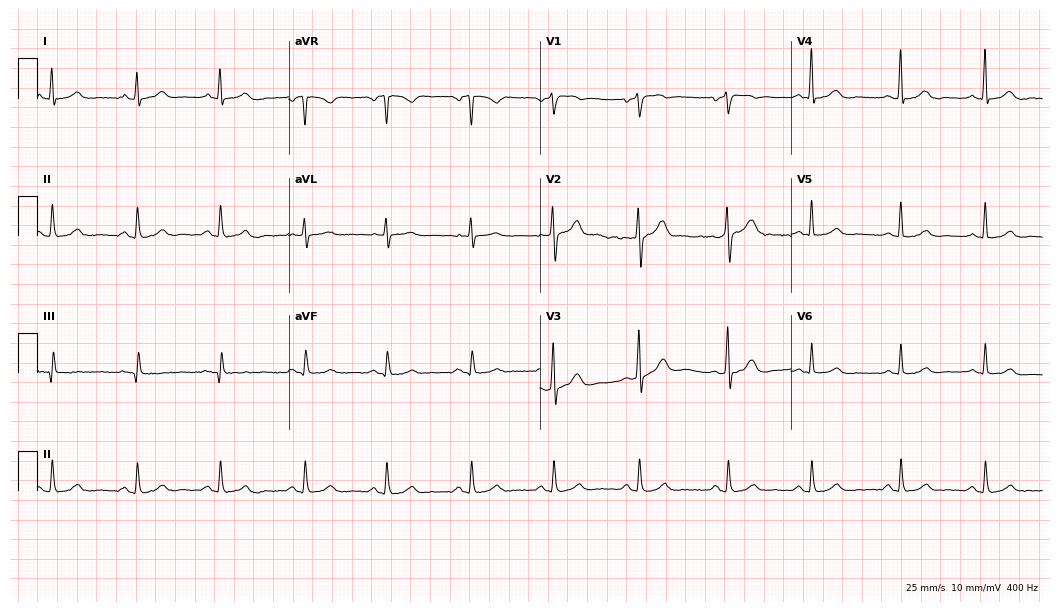
12-lead ECG (10.2-second recording at 400 Hz) from a 55-year-old male patient. Labelled as a normal ECG.